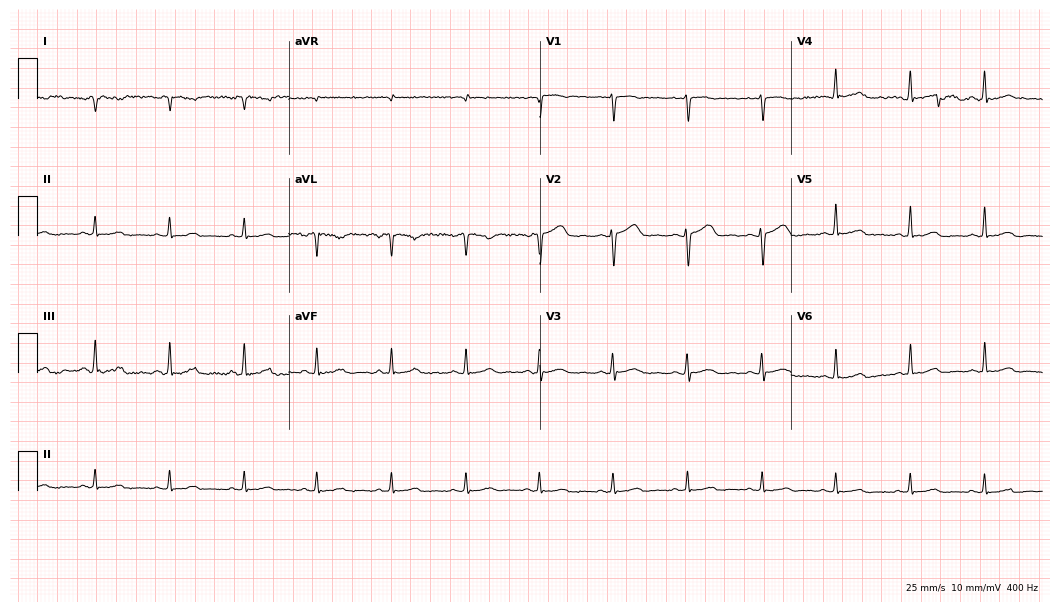
Standard 12-lead ECG recorded from a female, 30 years old (10.2-second recording at 400 Hz). None of these six findings is recorded: first-degree AV block, right bundle branch block, left bundle branch block, sinus bradycardia, atrial fibrillation, sinus tachycardia.